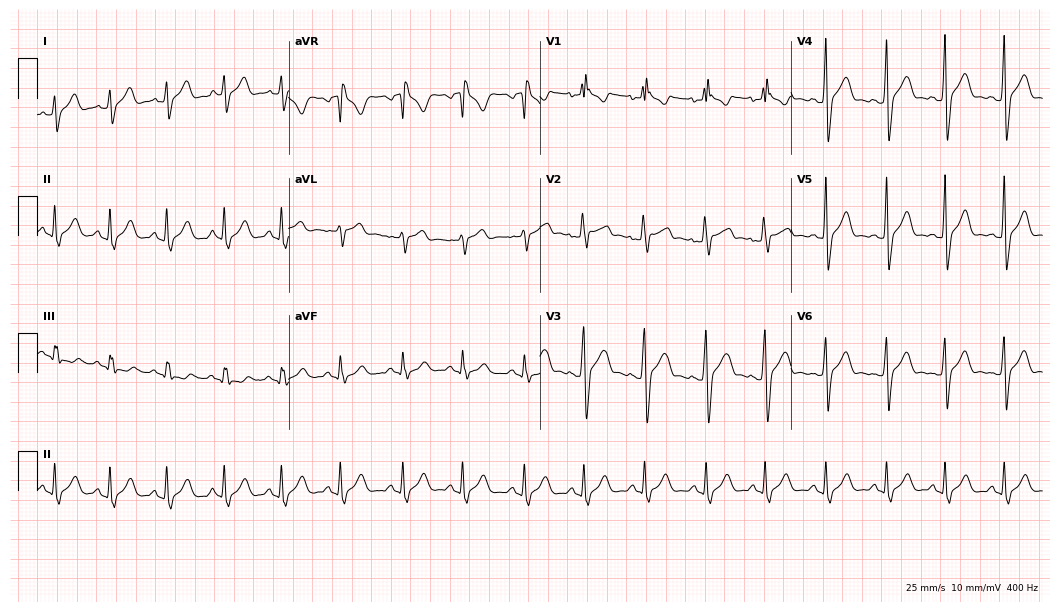
12-lead ECG from a 21-year-old male. No first-degree AV block, right bundle branch block, left bundle branch block, sinus bradycardia, atrial fibrillation or sinus tachycardia recorded for this tracing.